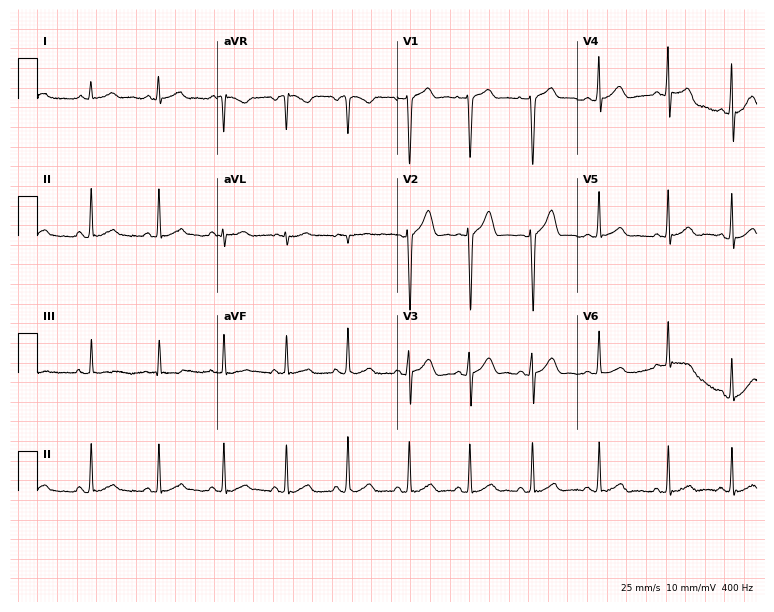
12-lead ECG from a 29-year-old man (7.3-second recording at 400 Hz). Recorded interpretation: within normal limits.